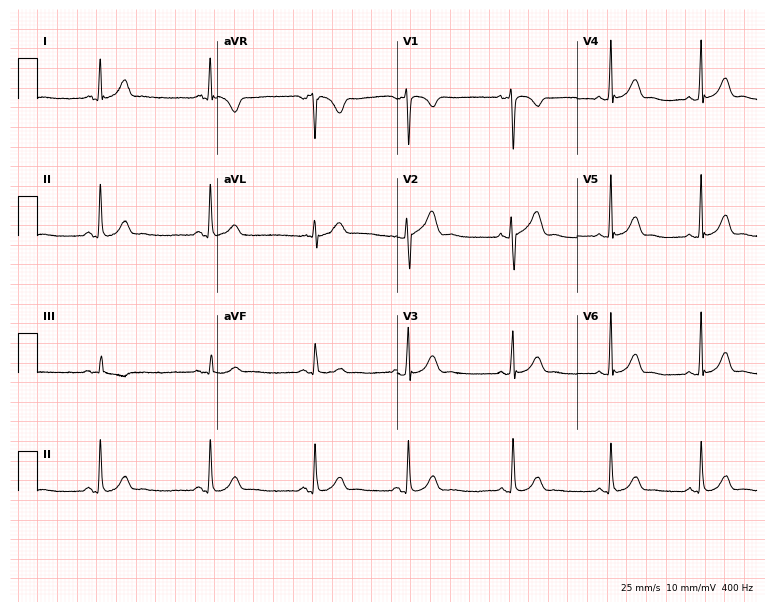
12-lead ECG from a female patient, 25 years old (7.3-second recording at 400 Hz). No first-degree AV block, right bundle branch block, left bundle branch block, sinus bradycardia, atrial fibrillation or sinus tachycardia recorded for this tracing.